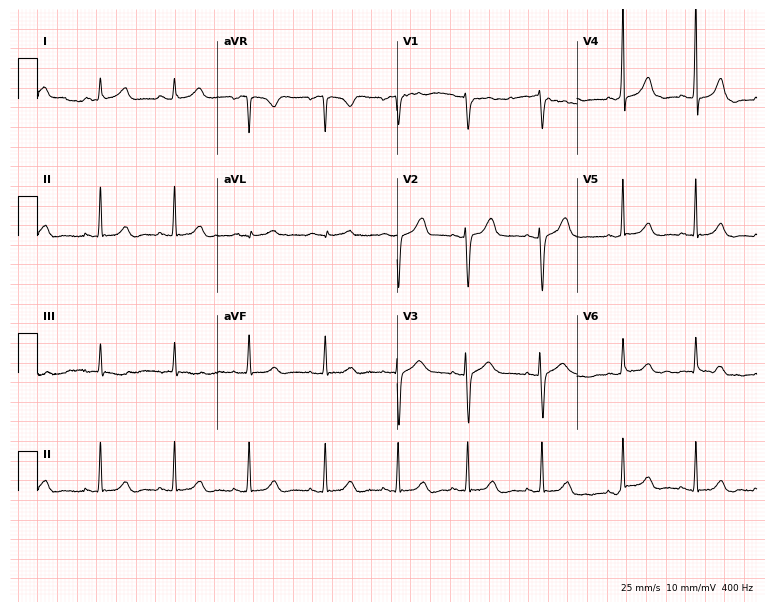
12-lead ECG from a 28-year-old female patient (7.3-second recording at 400 Hz). No first-degree AV block, right bundle branch block, left bundle branch block, sinus bradycardia, atrial fibrillation or sinus tachycardia recorded for this tracing.